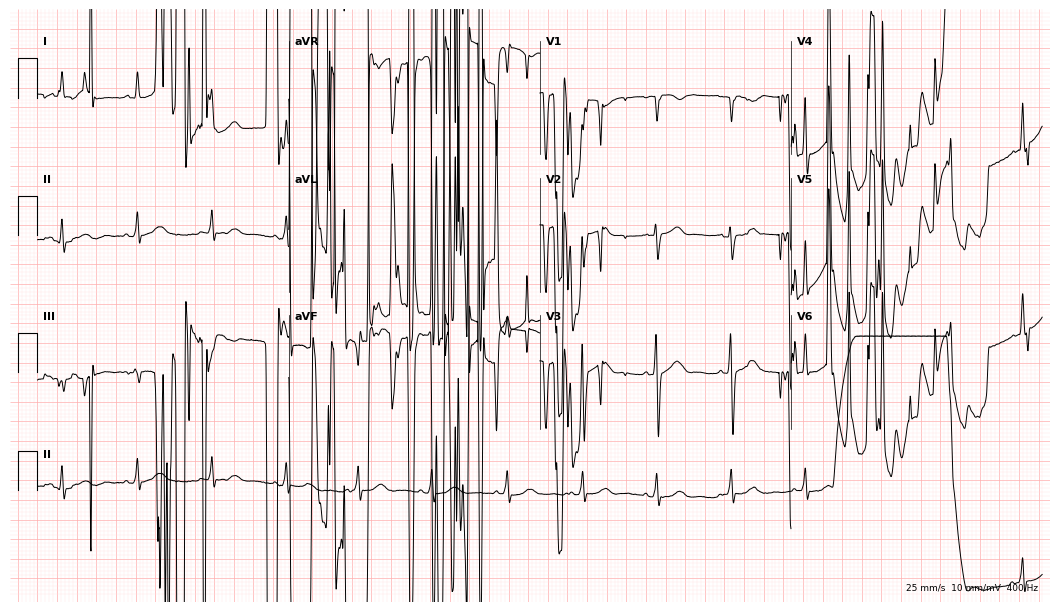
12-lead ECG from a 52-year-old male (10.2-second recording at 400 Hz). No first-degree AV block, right bundle branch block (RBBB), left bundle branch block (LBBB), sinus bradycardia, atrial fibrillation (AF) or sinus tachycardia recorded for this tracing. Findings outside these six are not listed.